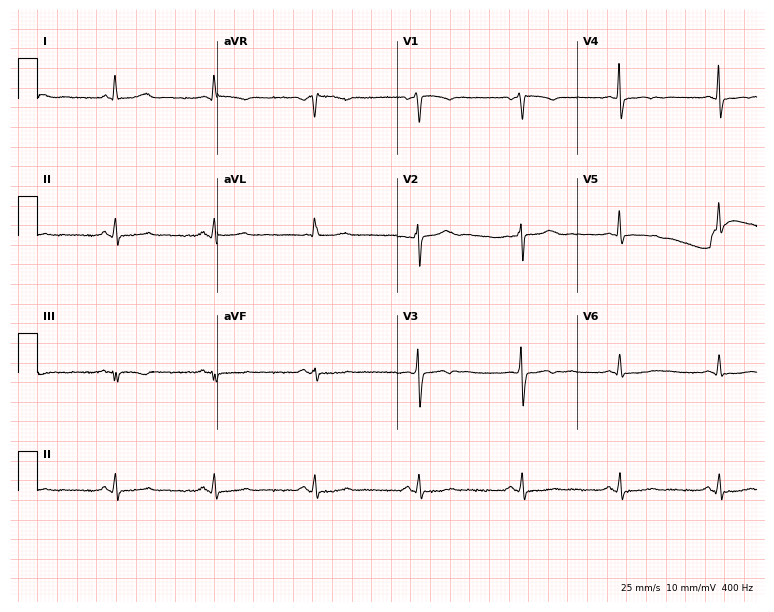
Electrocardiogram, a 46-year-old female patient. Of the six screened findings (first-degree AV block, right bundle branch block, left bundle branch block, sinus bradycardia, atrial fibrillation, sinus tachycardia), none is recorded.